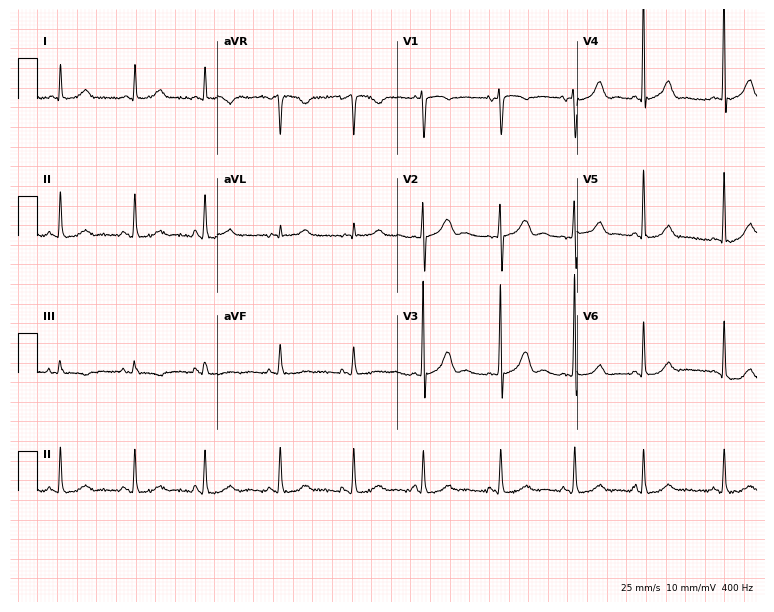
ECG — a 66-year-old female. Screened for six findings — first-degree AV block, right bundle branch block, left bundle branch block, sinus bradycardia, atrial fibrillation, sinus tachycardia — none is recorded.